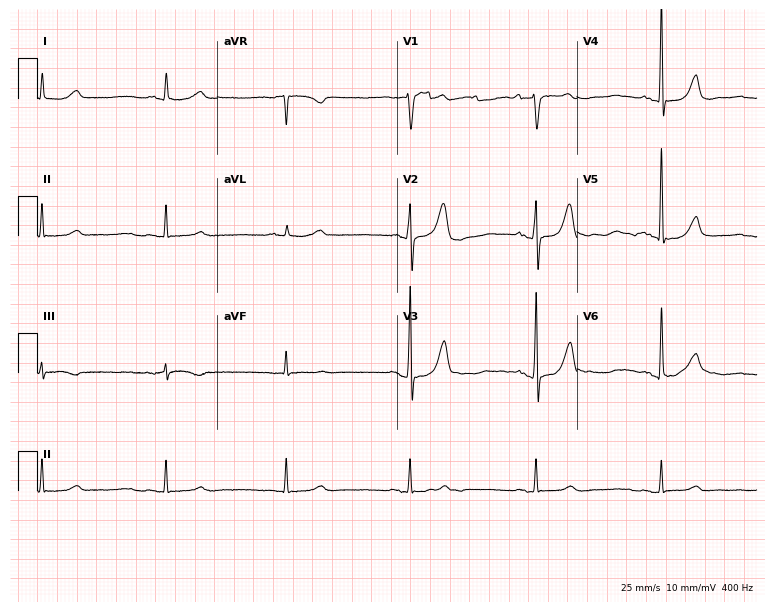
12-lead ECG from an 86-year-old male. No first-degree AV block, right bundle branch block (RBBB), left bundle branch block (LBBB), sinus bradycardia, atrial fibrillation (AF) or sinus tachycardia recorded for this tracing.